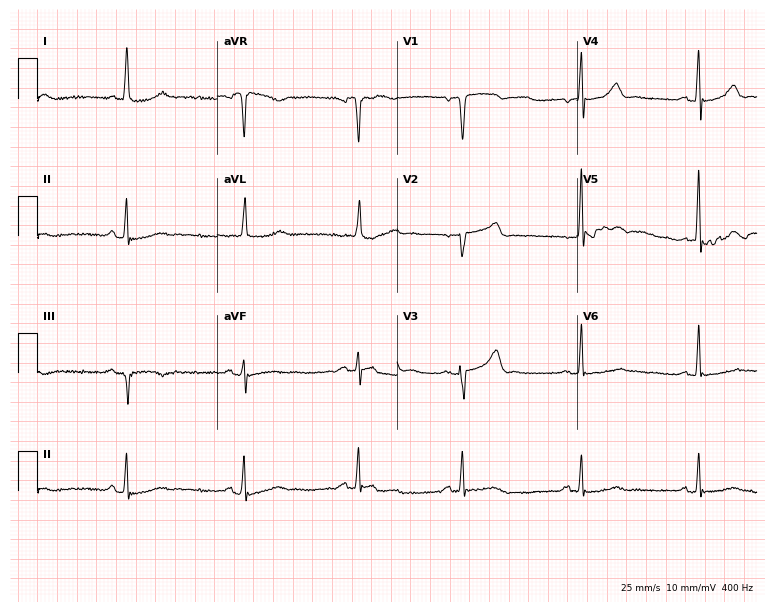
Standard 12-lead ECG recorded from a 74-year-old woman. None of these six findings is recorded: first-degree AV block, right bundle branch block, left bundle branch block, sinus bradycardia, atrial fibrillation, sinus tachycardia.